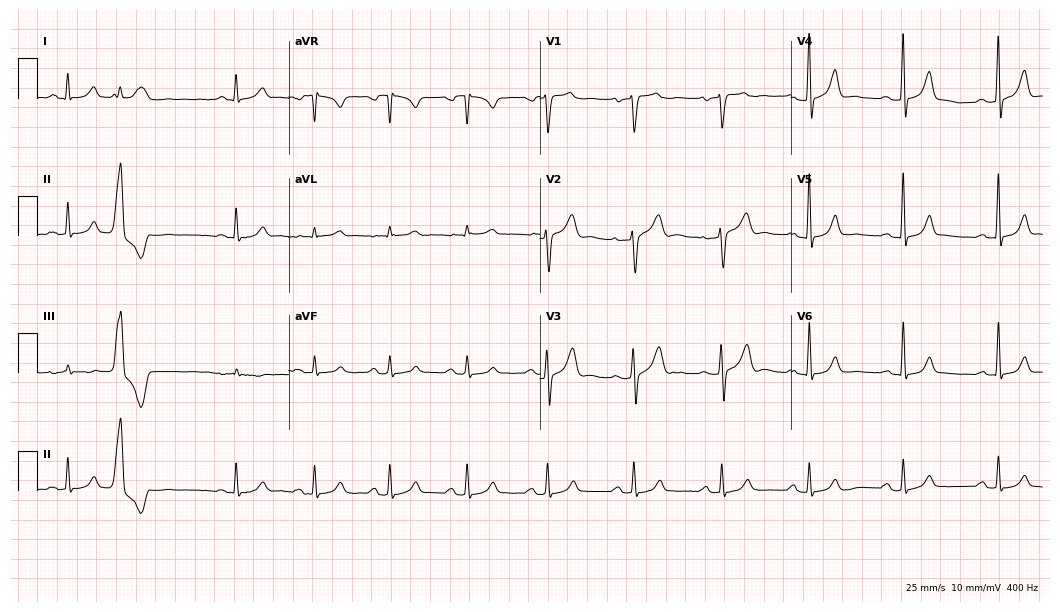
ECG (10.2-second recording at 400 Hz) — a 57-year-old male patient. Screened for six findings — first-degree AV block, right bundle branch block, left bundle branch block, sinus bradycardia, atrial fibrillation, sinus tachycardia — none is recorded. Only these six findings were labelled.